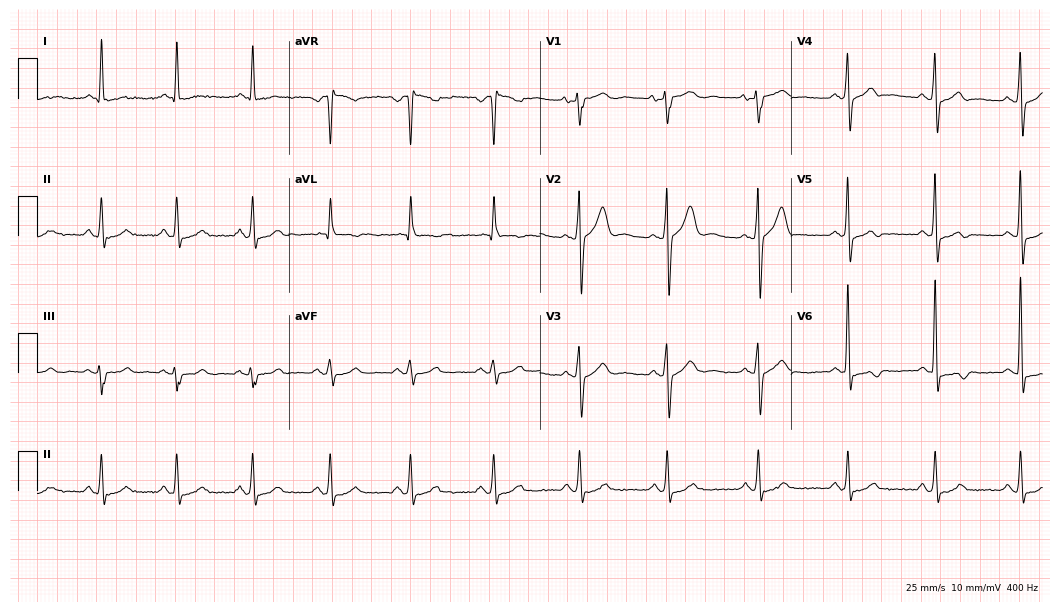
12-lead ECG (10.2-second recording at 400 Hz) from a 63-year-old male. Screened for six findings — first-degree AV block, right bundle branch block, left bundle branch block, sinus bradycardia, atrial fibrillation, sinus tachycardia — none is recorded.